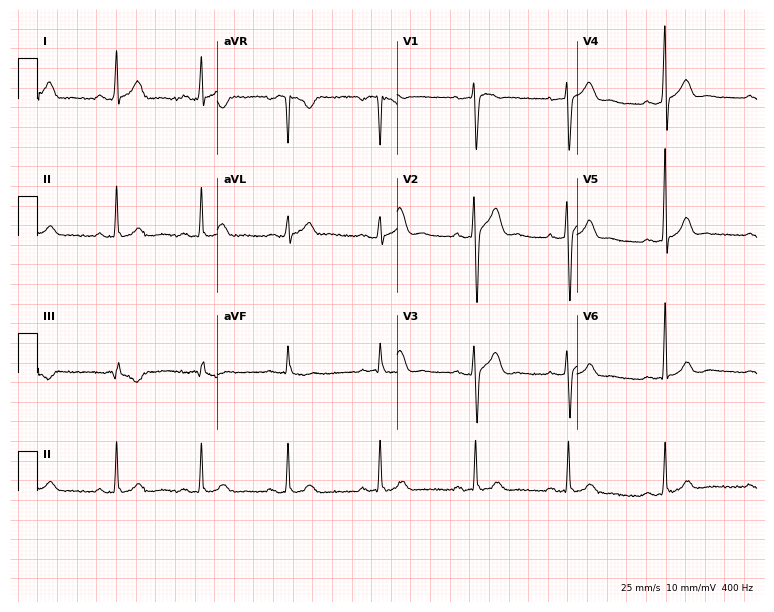
Electrocardiogram (7.3-second recording at 400 Hz), a male, 36 years old. Overall reading on record: normal ECG.